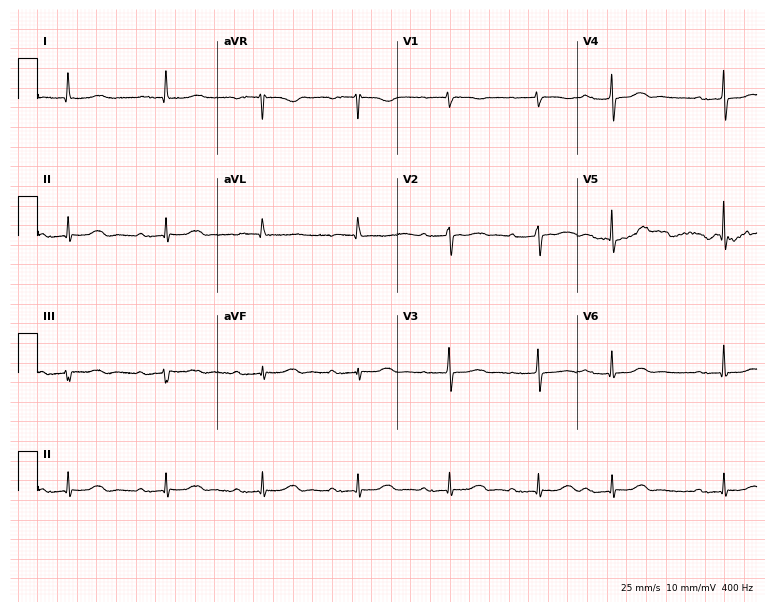
12-lead ECG from an 84-year-old female (7.3-second recording at 400 Hz). Shows first-degree AV block.